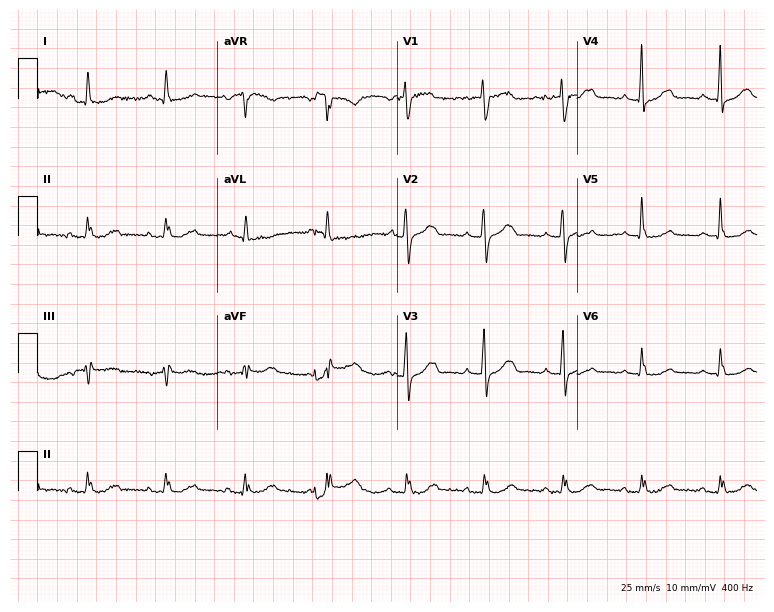
Resting 12-lead electrocardiogram. Patient: an 85-year-old woman. None of these six findings is recorded: first-degree AV block, right bundle branch block, left bundle branch block, sinus bradycardia, atrial fibrillation, sinus tachycardia.